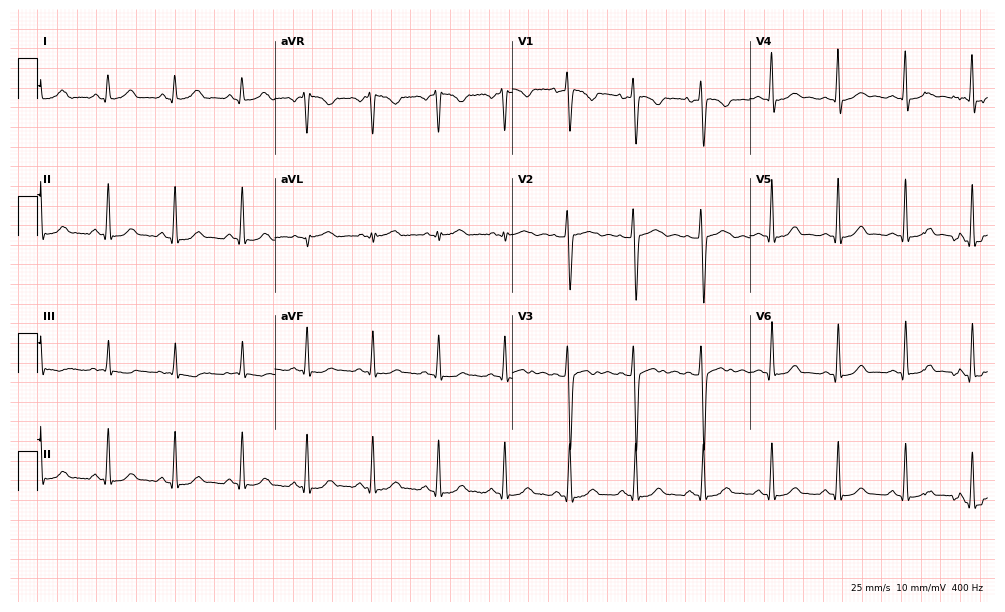
Electrocardiogram, a 22-year-old female patient. Overall reading on record: normal ECG.